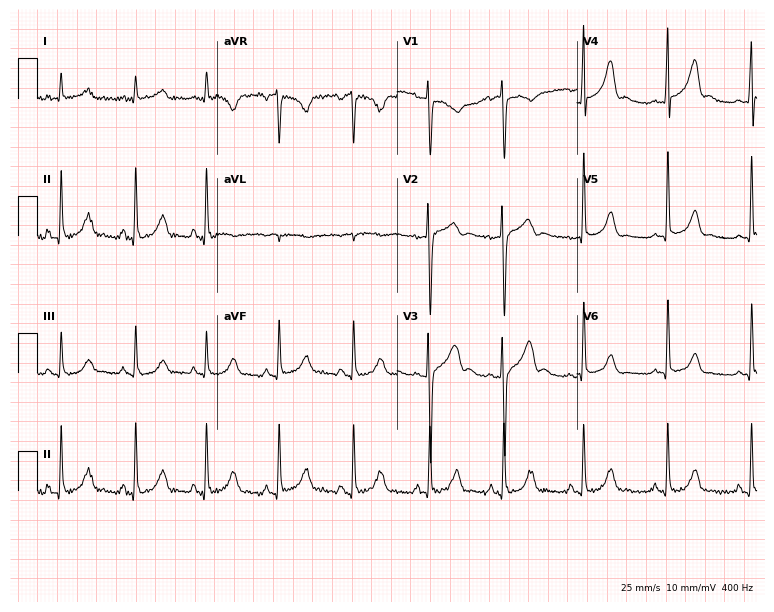
Electrocardiogram (7.3-second recording at 400 Hz), a male patient, 44 years old. Overall reading on record: normal ECG.